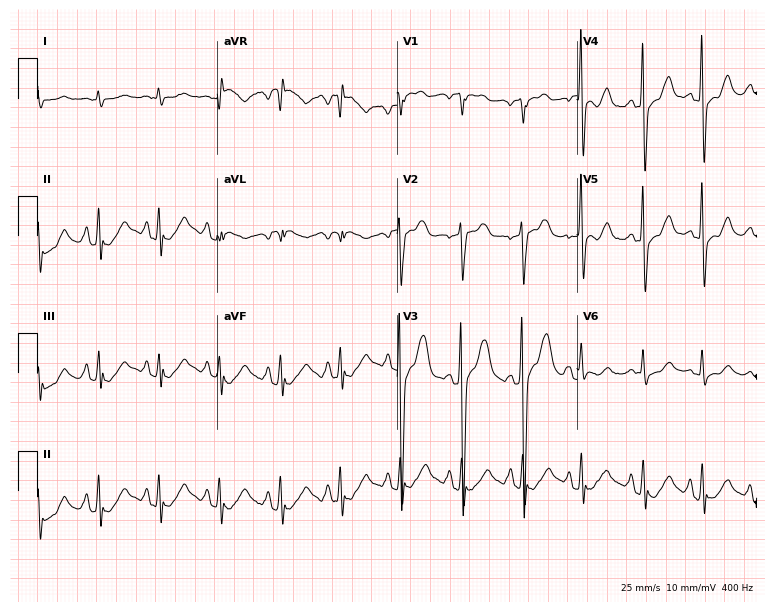
12-lead ECG (7.3-second recording at 400 Hz) from a female, 84 years old. Screened for six findings — first-degree AV block, right bundle branch block, left bundle branch block, sinus bradycardia, atrial fibrillation, sinus tachycardia — none is recorded. Other findings, if any, are not listed.